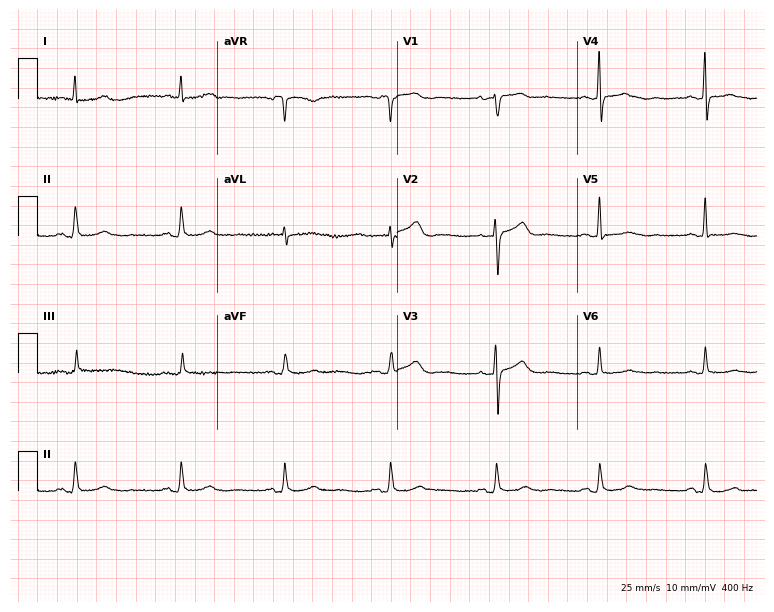
Electrocardiogram, a female patient, 58 years old. Overall reading on record: normal ECG.